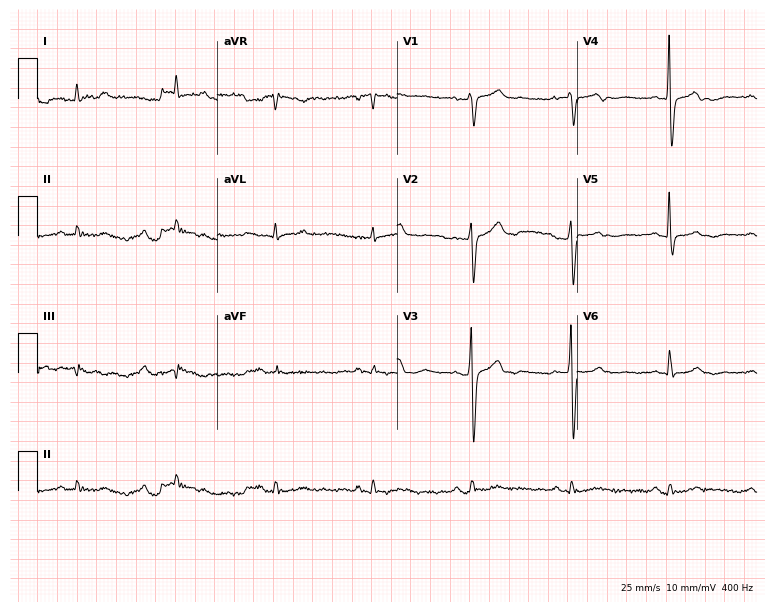
Resting 12-lead electrocardiogram. Patient: a male, 48 years old. None of these six findings is recorded: first-degree AV block, right bundle branch block (RBBB), left bundle branch block (LBBB), sinus bradycardia, atrial fibrillation (AF), sinus tachycardia.